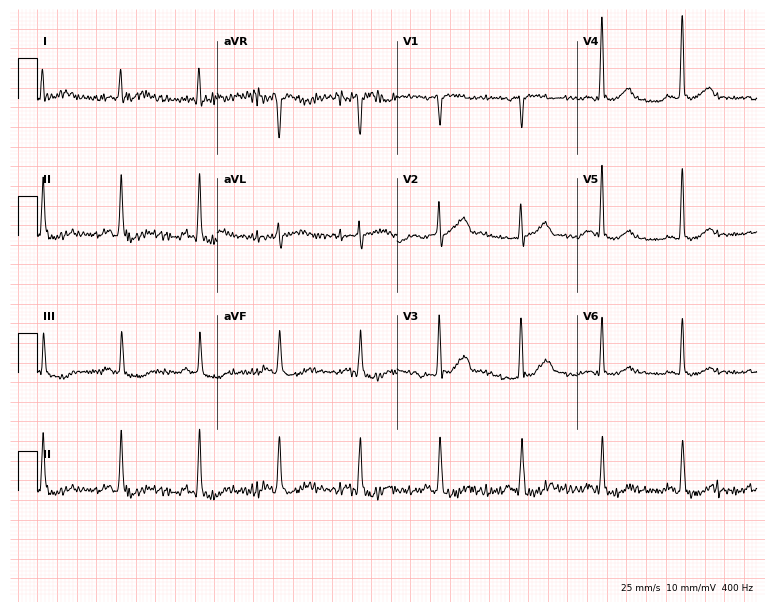
12-lead ECG from a 57-year-old male patient (7.3-second recording at 400 Hz). No first-degree AV block, right bundle branch block, left bundle branch block, sinus bradycardia, atrial fibrillation or sinus tachycardia recorded for this tracing. Other findings, if any, are not listed.